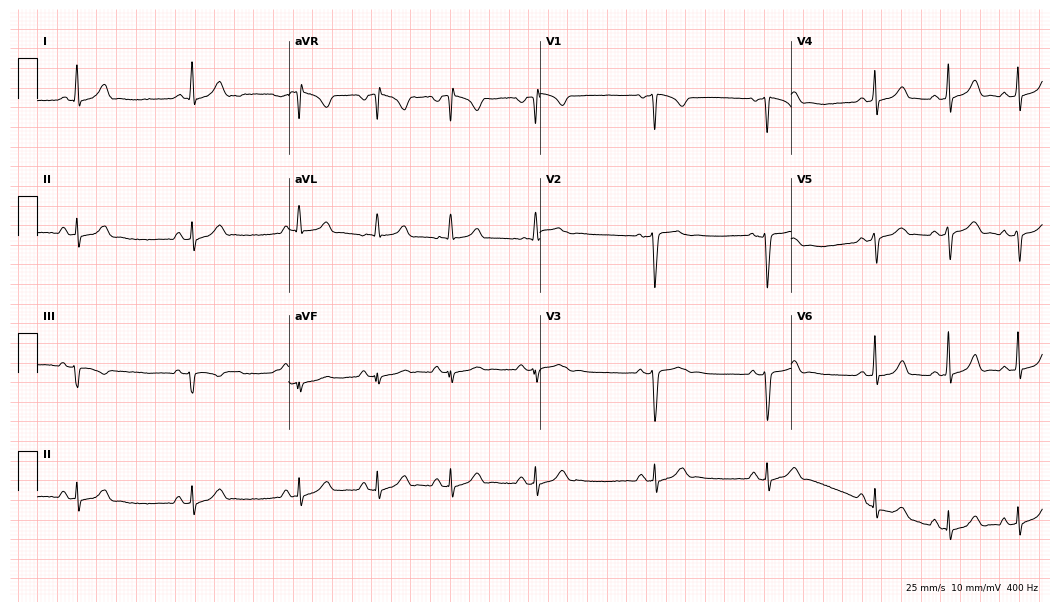
Electrocardiogram (10.2-second recording at 400 Hz), a female patient, 26 years old. Of the six screened findings (first-degree AV block, right bundle branch block, left bundle branch block, sinus bradycardia, atrial fibrillation, sinus tachycardia), none is recorded. Only these six findings were labelled.